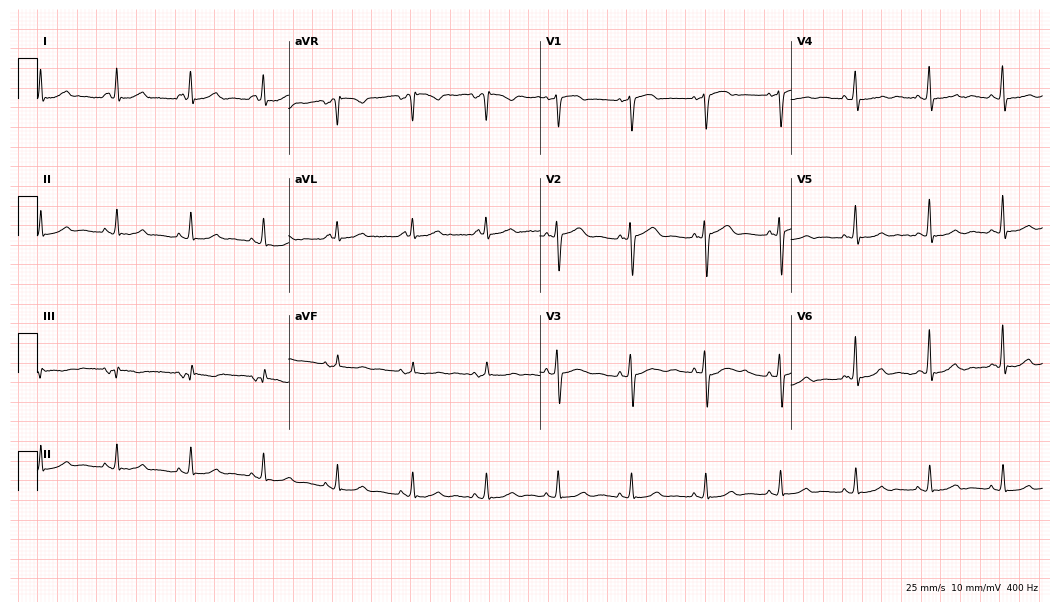
ECG (10.2-second recording at 400 Hz) — a 61-year-old woman. Screened for six findings — first-degree AV block, right bundle branch block, left bundle branch block, sinus bradycardia, atrial fibrillation, sinus tachycardia — none is recorded.